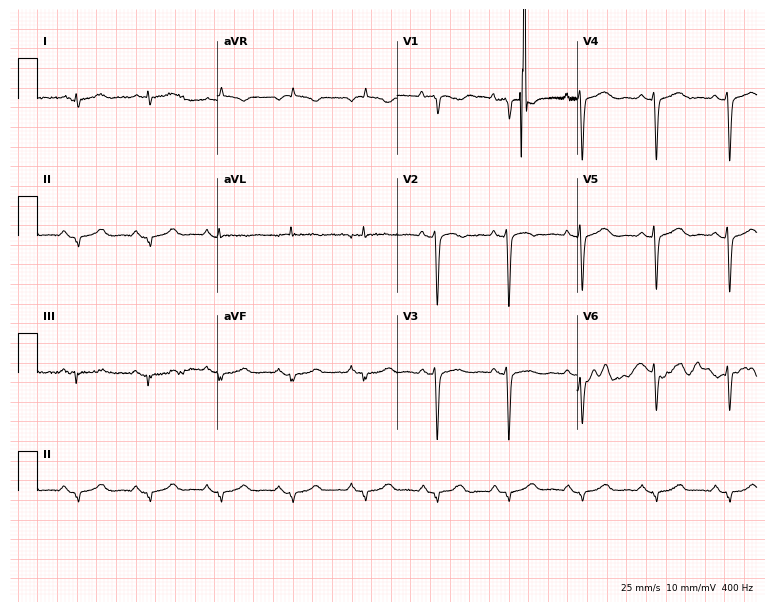
12-lead ECG (7.3-second recording at 400 Hz) from an 85-year-old woman. Screened for six findings — first-degree AV block, right bundle branch block, left bundle branch block, sinus bradycardia, atrial fibrillation, sinus tachycardia — none is recorded.